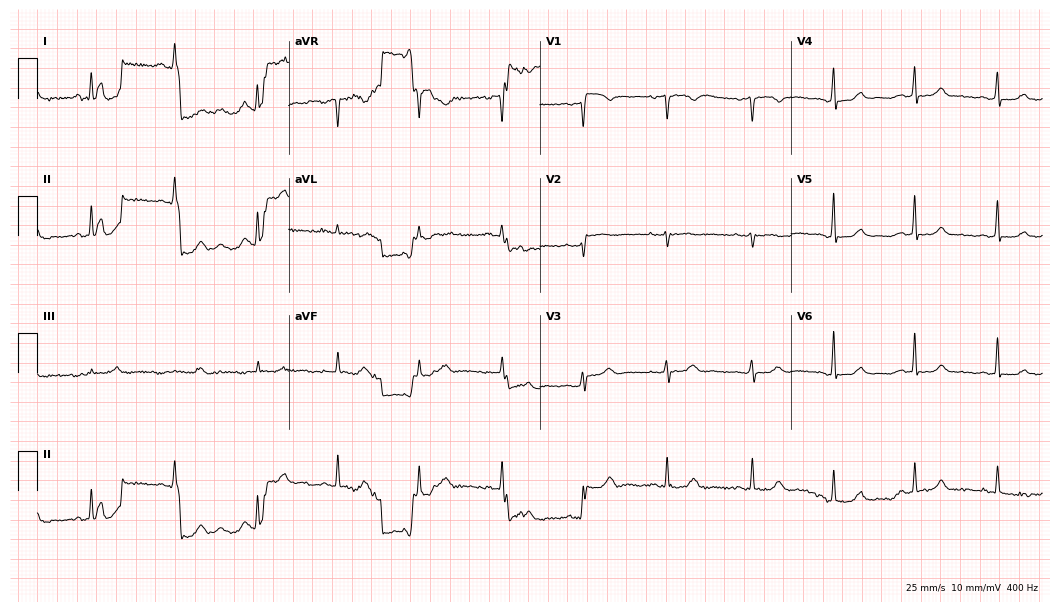
Electrocardiogram, a woman, 64 years old. Of the six screened findings (first-degree AV block, right bundle branch block (RBBB), left bundle branch block (LBBB), sinus bradycardia, atrial fibrillation (AF), sinus tachycardia), none is recorded. Other findings, if any, are not listed.